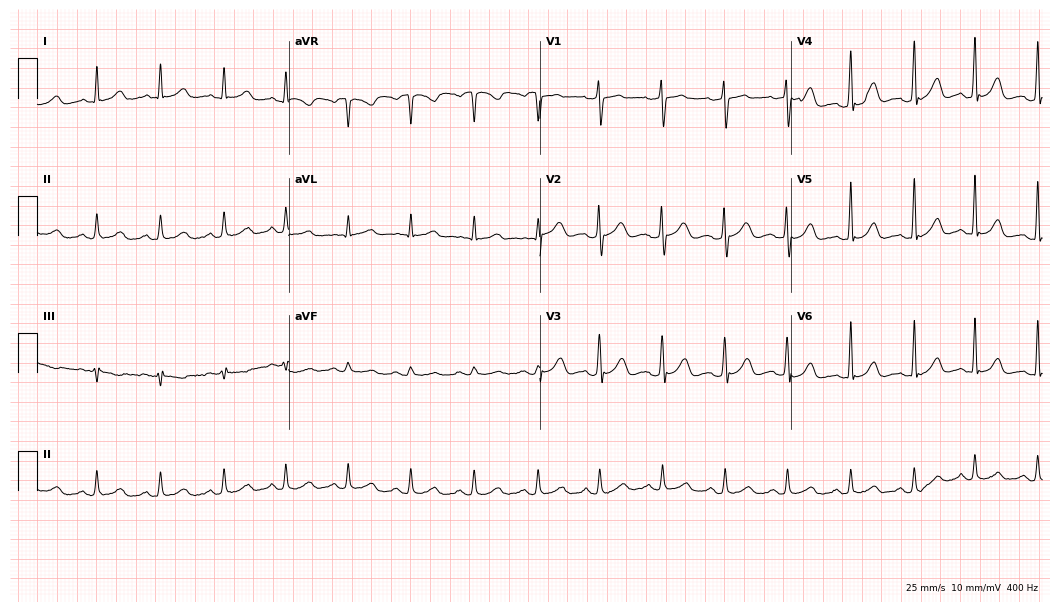
12-lead ECG (10.2-second recording at 400 Hz) from a female patient, 46 years old. Labelled as a normal ECG.